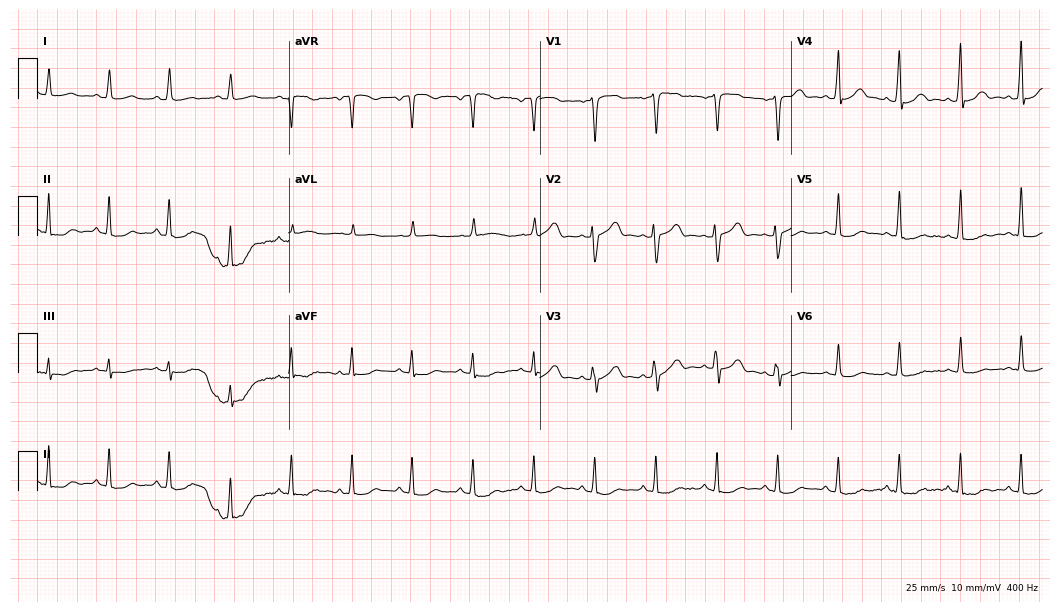
12-lead ECG from an 80-year-old man. Labelled as a normal ECG.